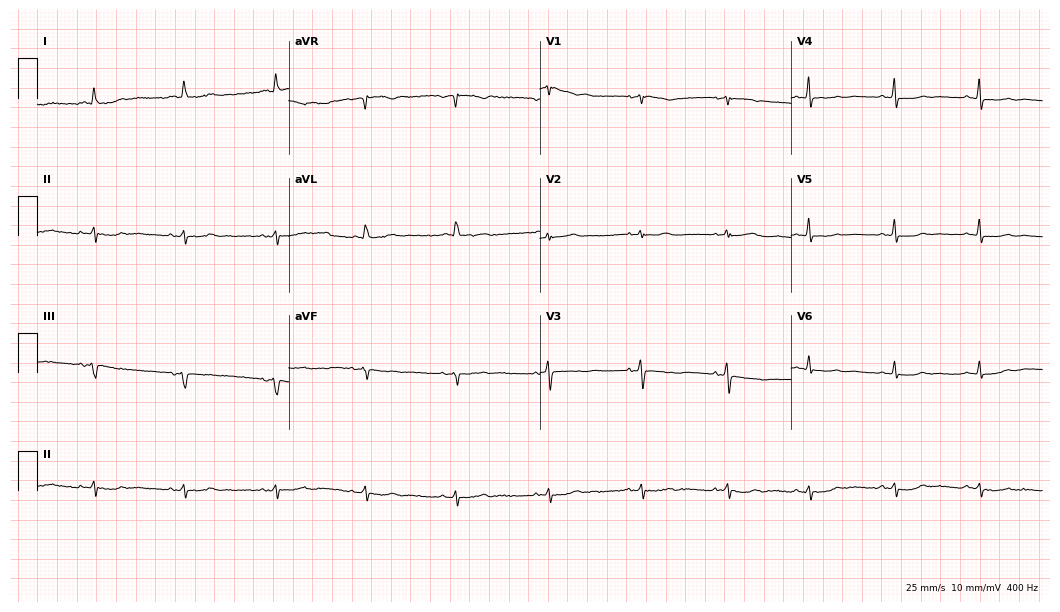
Standard 12-lead ECG recorded from a 64-year-old female (10.2-second recording at 400 Hz). None of these six findings is recorded: first-degree AV block, right bundle branch block, left bundle branch block, sinus bradycardia, atrial fibrillation, sinus tachycardia.